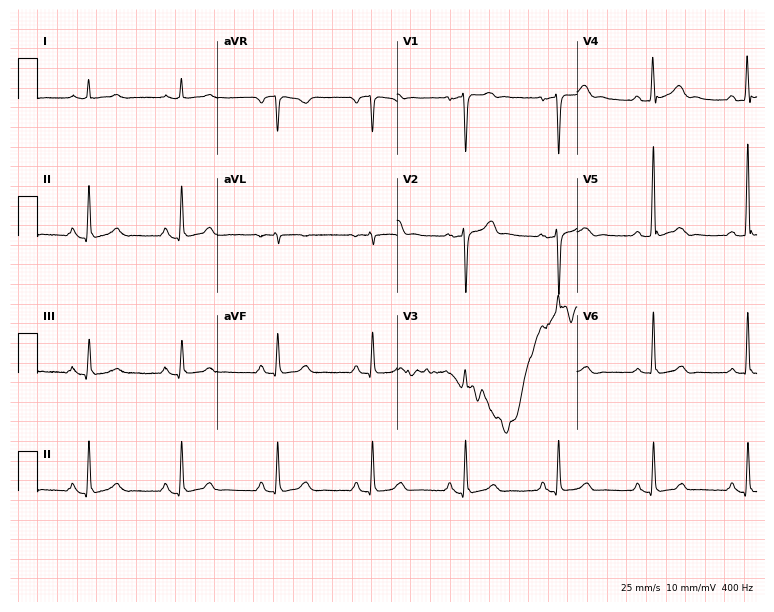
12-lead ECG (7.3-second recording at 400 Hz) from a 75-year-old male patient. Screened for six findings — first-degree AV block, right bundle branch block (RBBB), left bundle branch block (LBBB), sinus bradycardia, atrial fibrillation (AF), sinus tachycardia — none is recorded. Other findings, if any, are not listed.